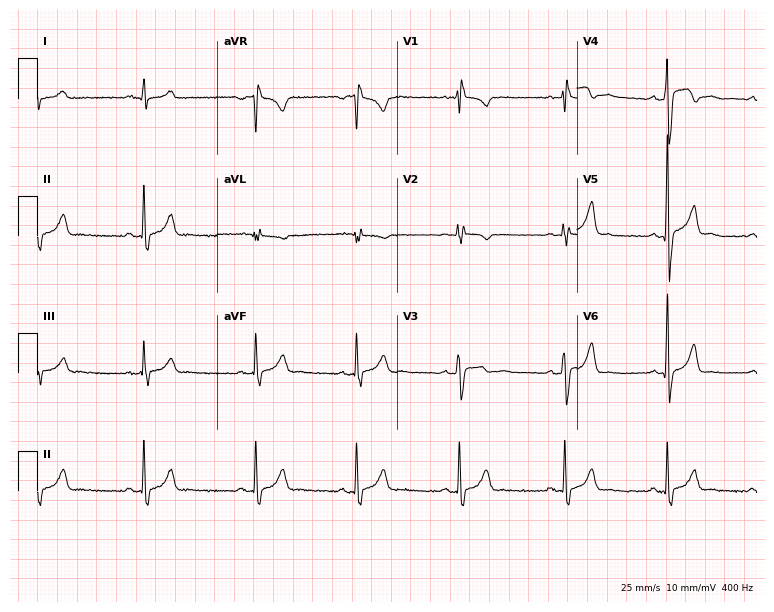
Electrocardiogram, a 20-year-old male. Of the six screened findings (first-degree AV block, right bundle branch block (RBBB), left bundle branch block (LBBB), sinus bradycardia, atrial fibrillation (AF), sinus tachycardia), none is recorded. Other findings, if any, are not listed.